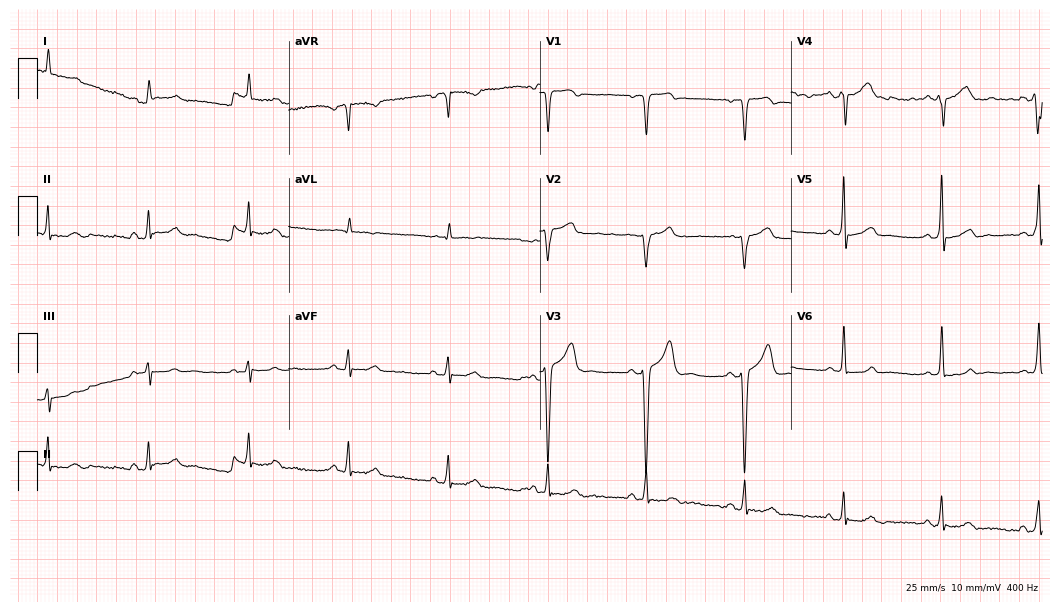
Electrocardiogram, a 68-year-old male patient. Of the six screened findings (first-degree AV block, right bundle branch block, left bundle branch block, sinus bradycardia, atrial fibrillation, sinus tachycardia), none is recorded.